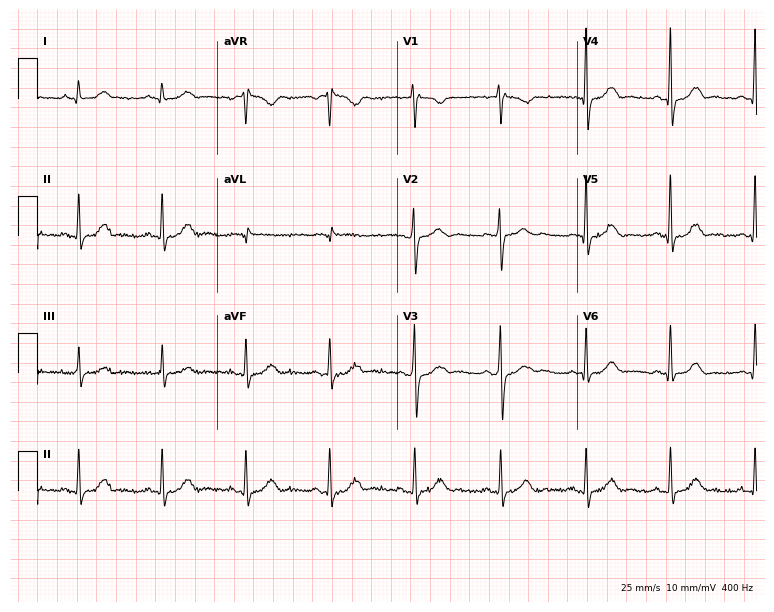
Standard 12-lead ECG recorded from a 42-year-old male patient (7.3-second recording at 400 Hz). Read as a normal ECG.